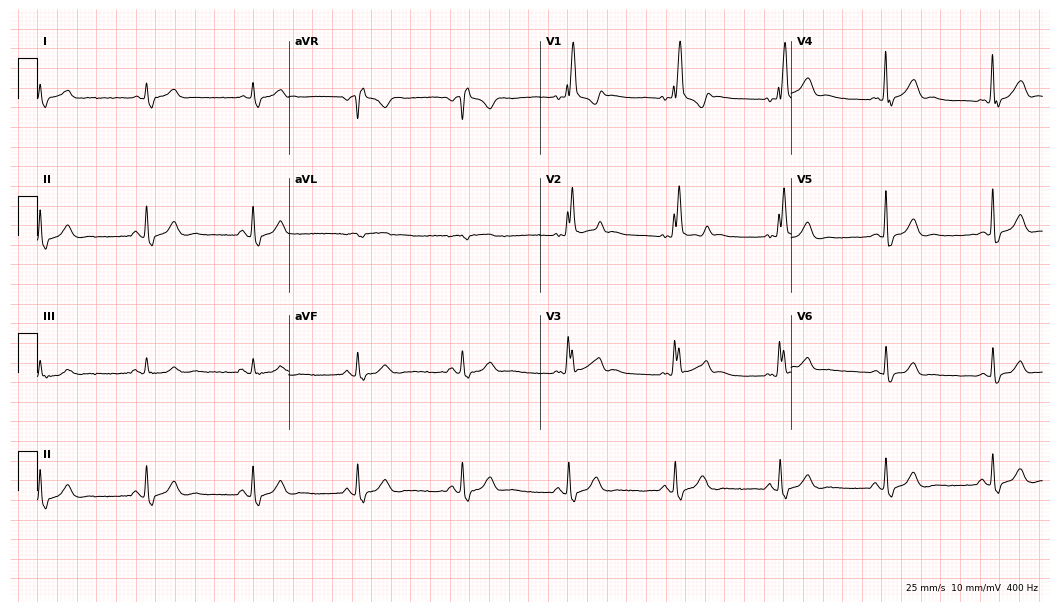
Resting 12-lead electrocardiogram (10.2-second recording at 400 Hz). Patient: a man, 62 years old. None of these six findings is recorded: first-degree AV block, right bundle branch block, left bundle branch block, sinus bradycardia, atrial fibrillation, sinus tachycardia.